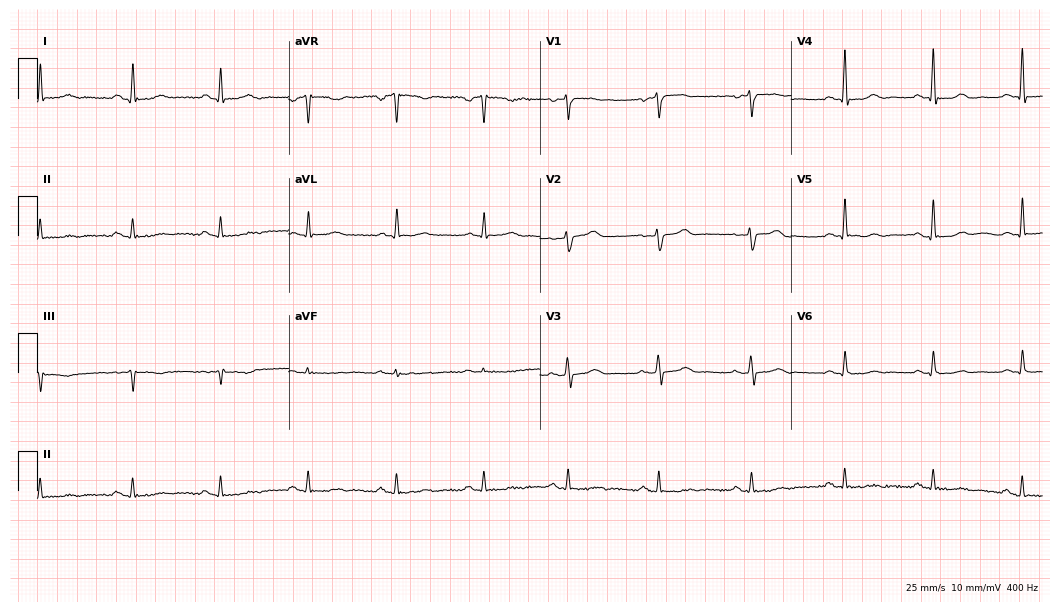
Electrocardiogram, a female patient, 45 years old. Of the six screened findings (first-degree AV block, right bundle branch block, left bundle branch block, sinus bradycardia, atrial fibrillation, sinus tachycardia), none is recorded. Other findings, if any, are not listed.